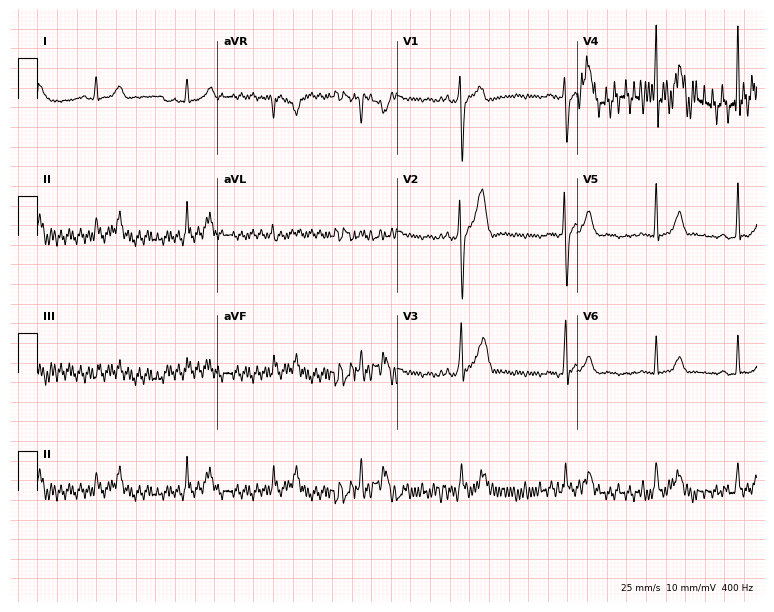
12-lead ECG from a 20-year-old female. Labelled as a normal ECG.